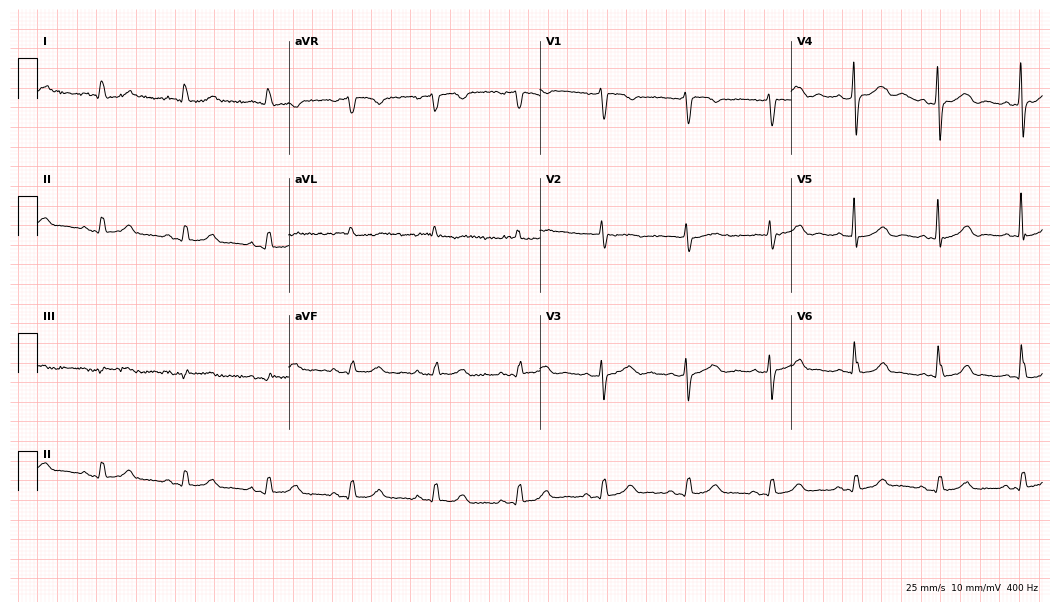
Resting 12-lead electrocardiogram. Patient: an 84-year-old woman. Read as a normal ECG.